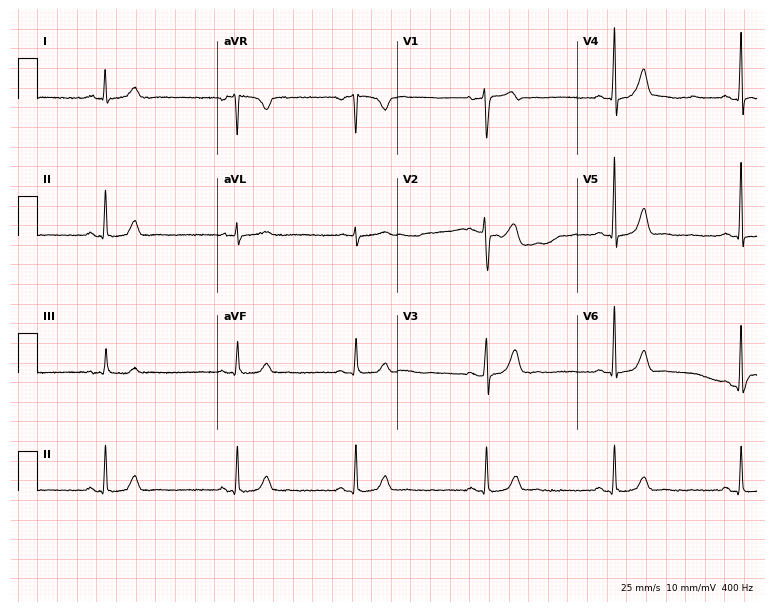
12-lead ECG from a 48-year-old female patient. Findings include sinus bradycardia (a sinus rate of 50 beats per minute or less).